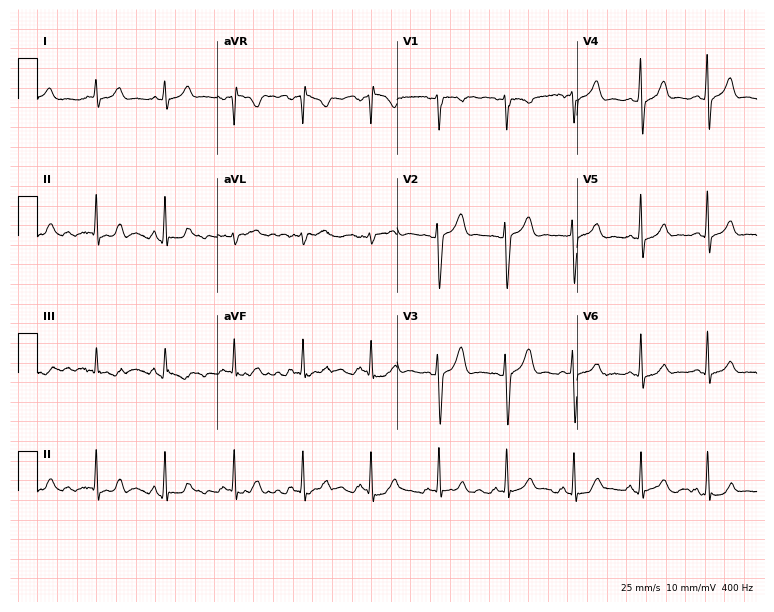
Electrocardiogram, a male, 44 years old. Overall reading on record: normal ECG.